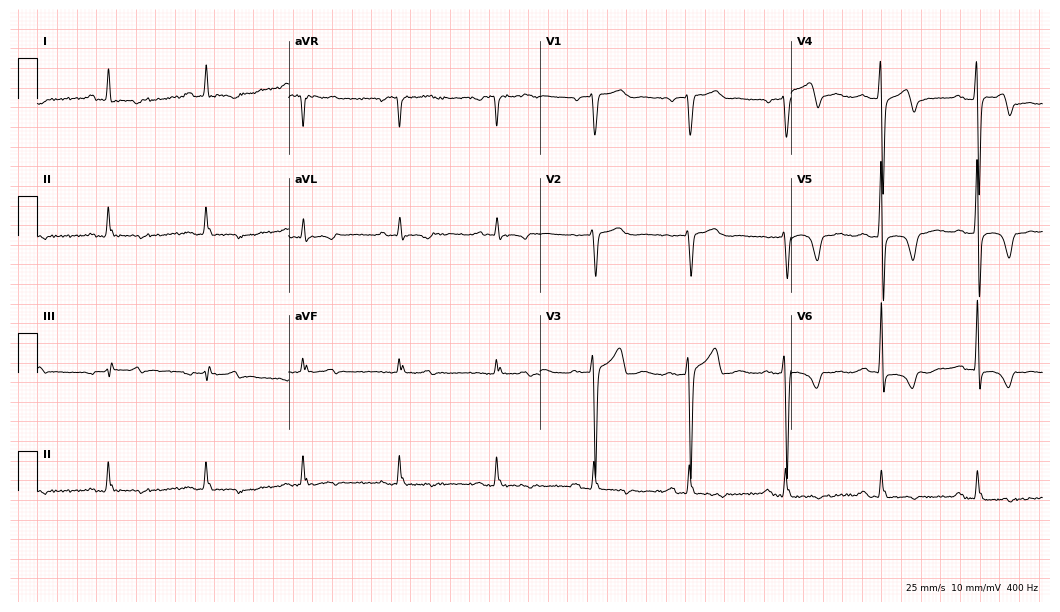
Resting 12-lead electrocardiogram. Patient: a 66-year-old man. None of these six findings is recorded: first-degree AV block, right bundle branch block, left bundle branch block, sinus bradycardia, atrial fibrillation, sinus tachycardia. Findings outside these six are not listed.